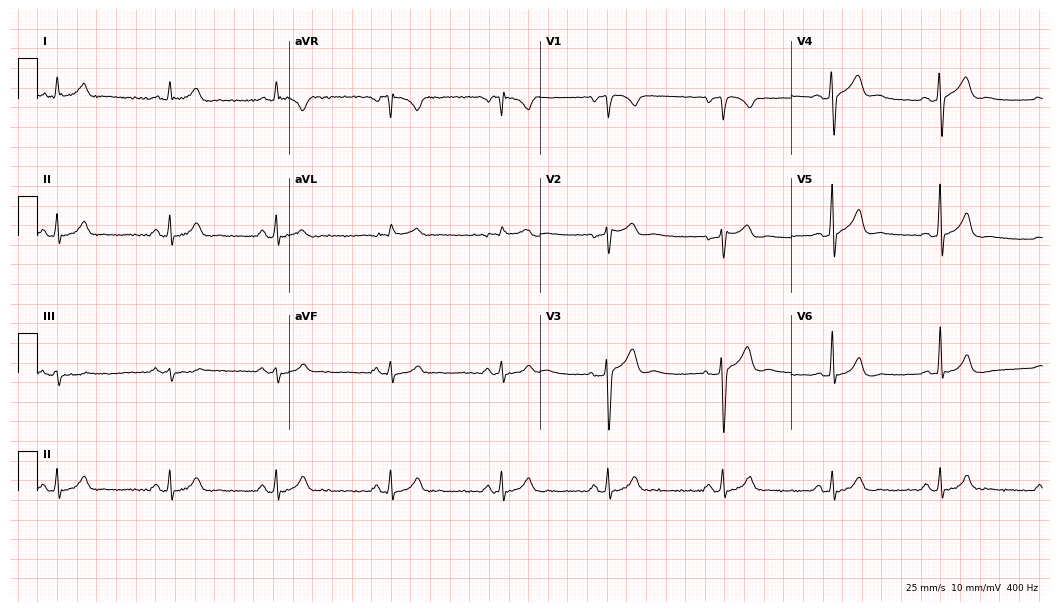
ECG (10.2-second recording at 400 Hz) — a male patient, 38 years old. Labelled as a normal ECG.